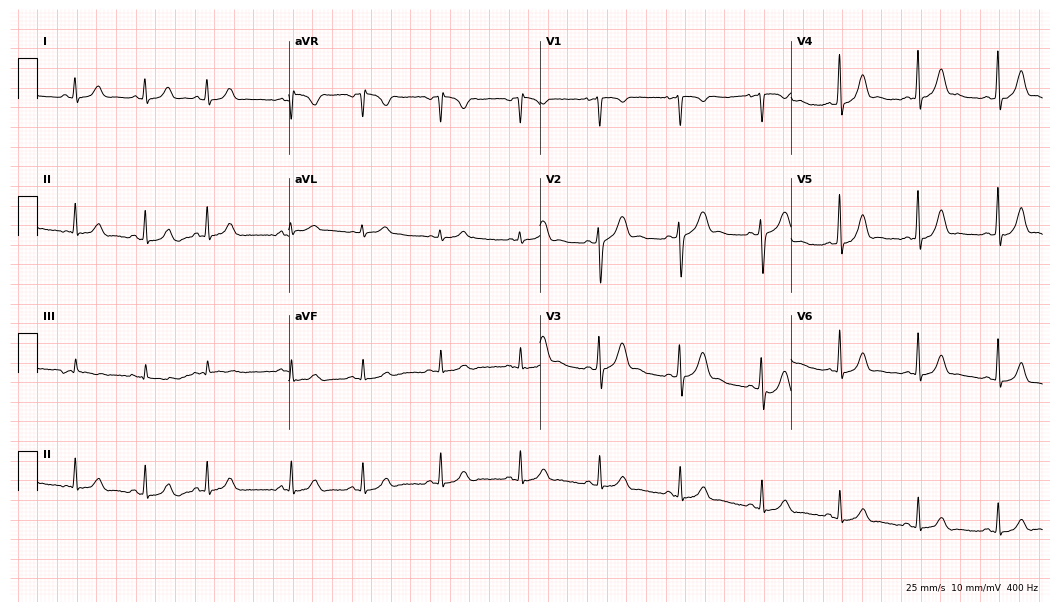
Electrocardiogram (10.2-second recording at 400 Hz), a woman, 24 years old. Overall reading on record: normal ECG.